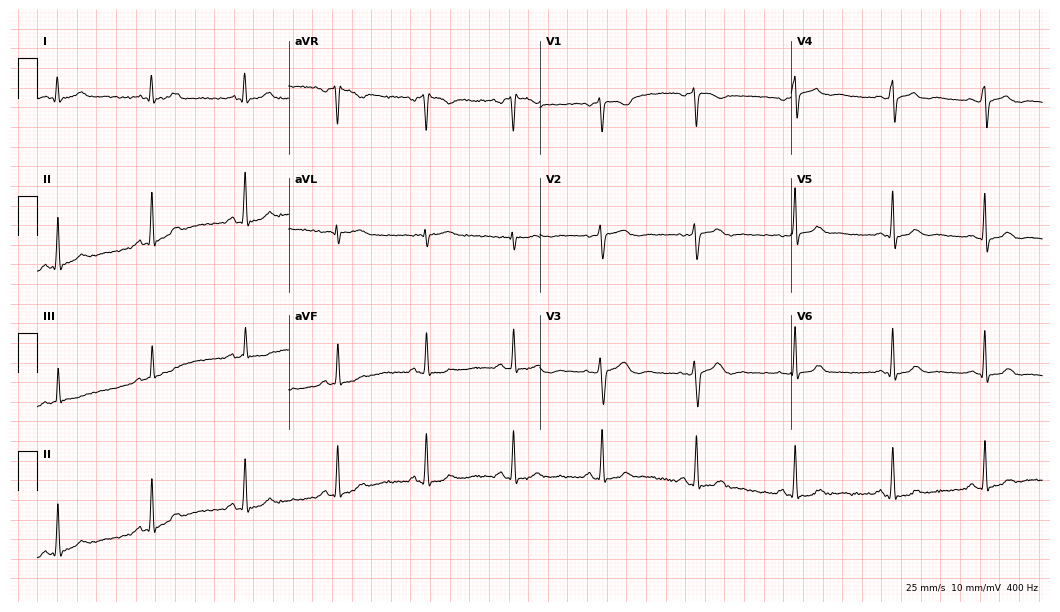
Standard 12-lead ECG recorded from a 33-year-old woman (10.2-second recording at 400 Hz). None of these six findings is recorded: first-degree AV block, right bundle branch block, left bundle branch block, sinus bradycardia, atrial fibrillation, sinus tachycardia. Only these six findings were labelled.